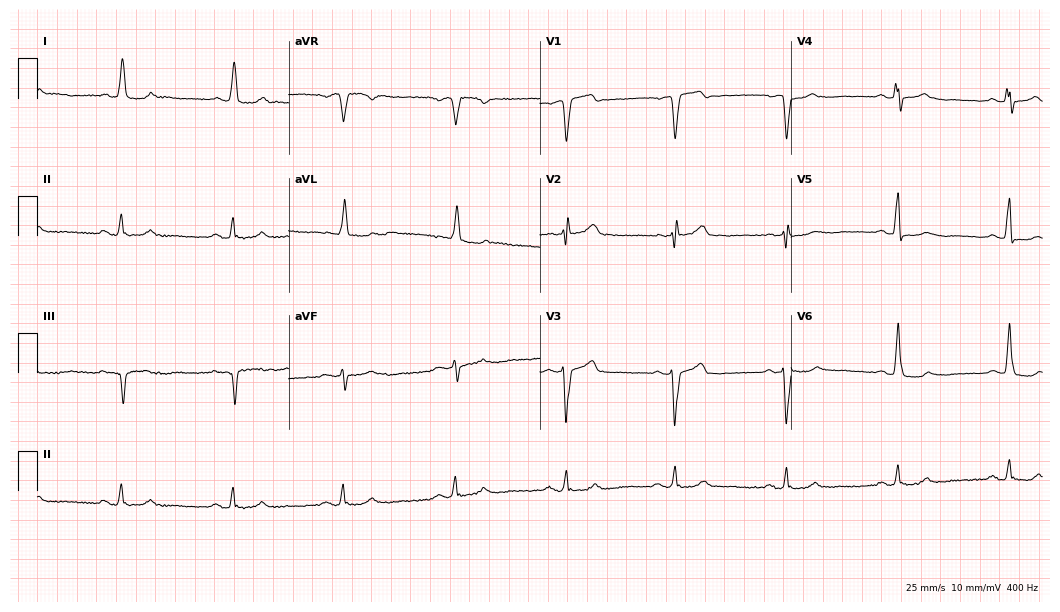
Resting 12-lead electrocardiogram. Patient: a 68-year-old man. None of these six findings is recorded: first-degree AV block, right bundle branch block, left bundle branch block, sinus bradycardia, atrial fibrillation, sinus tachycardia.